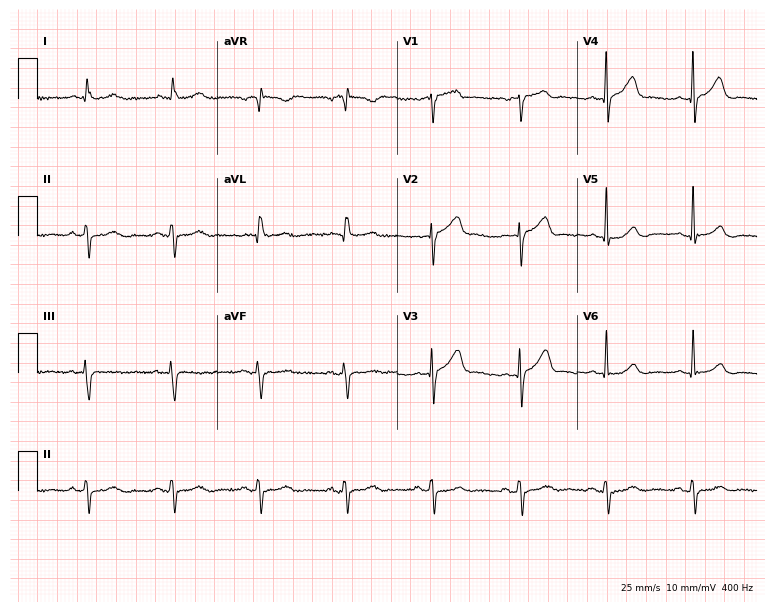
Electrocardiogram, a 65-year-old male patient. Of the six screened findings (first-degree AV block, right bundle branch block (RBBB), left bundle branch block (LBBB), sinus bradycardia, atrial fibrillation (AF), sinus tachycardia), none is recorded. Findings outside these six are not listed.